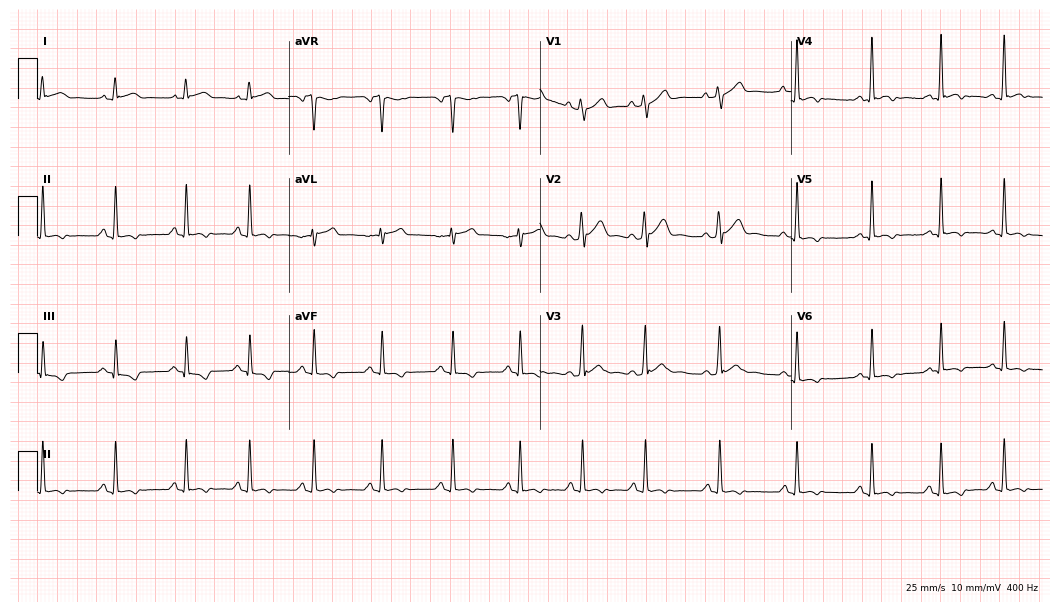
Standard 12-lead ECG recorded from a 25-year-old male. None of these six findings is recorded: first-degree AV block, right bundle branch block, left bundle branch block, sinus bradycardia, atrial fibrillation, sinus tachycardia.